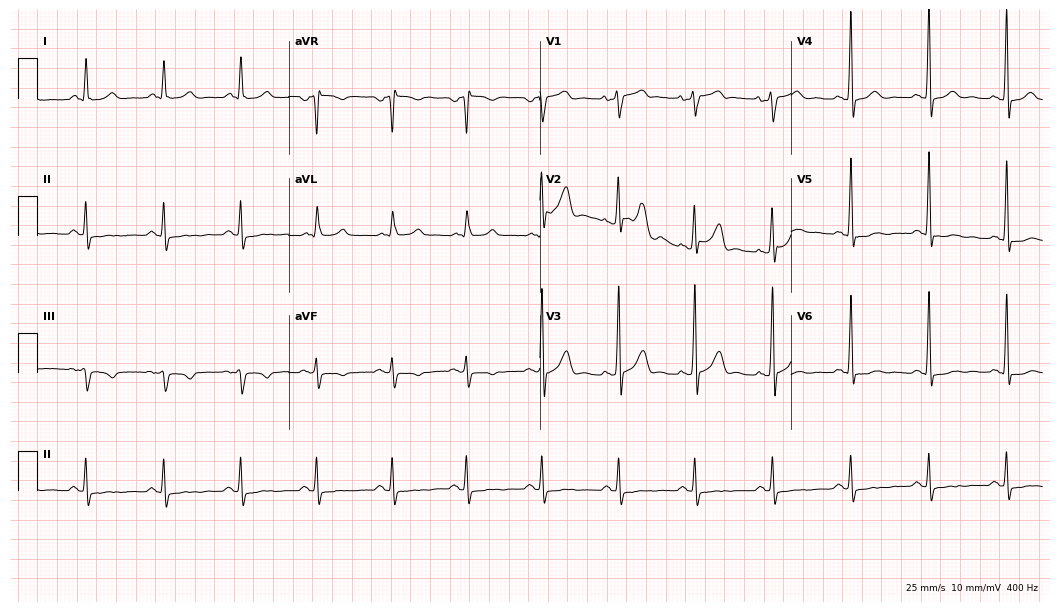
12-lead ECG from a 51-year-old man. Recorded interpretation: within normal limits.